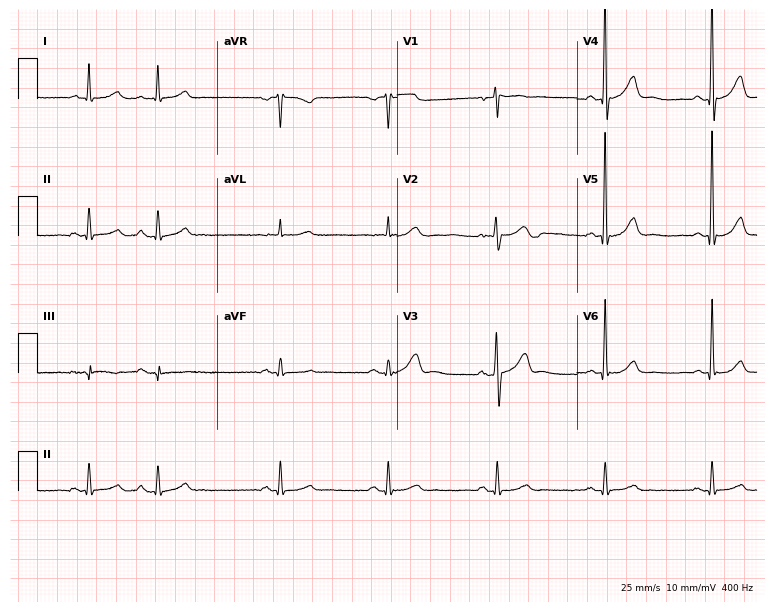
Resting 12-lead electrocardiogram (7.3-second recording at 400 Hz). Patient: a man, 64 years old. None of these six findings is recorded: first-degree AV block, right bundle branch block, left bundle branch block, sinus bradycardia, atrial fibrillation, sinus tachycardia. Only these six findings were labelled.